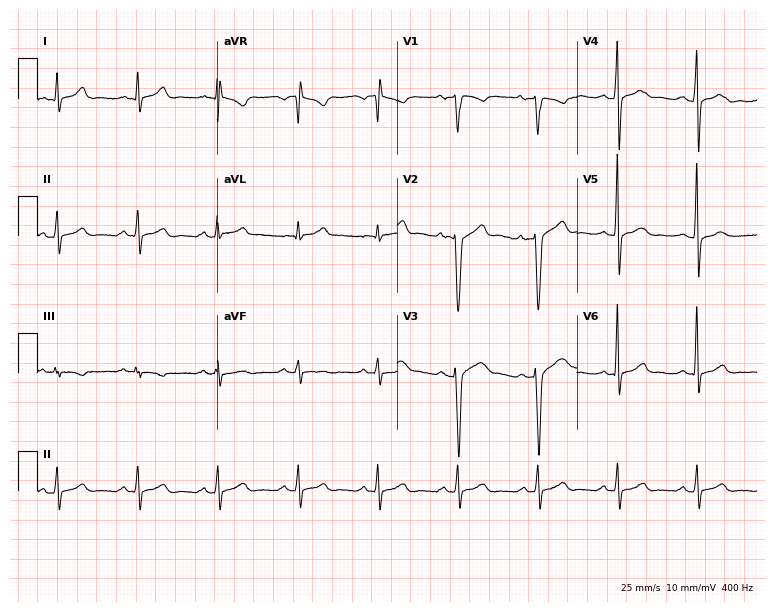
12-lead ECG from a 43-year-old male (7.3-second recording at 400 Hz). Recorded interpretation: within normal limits.